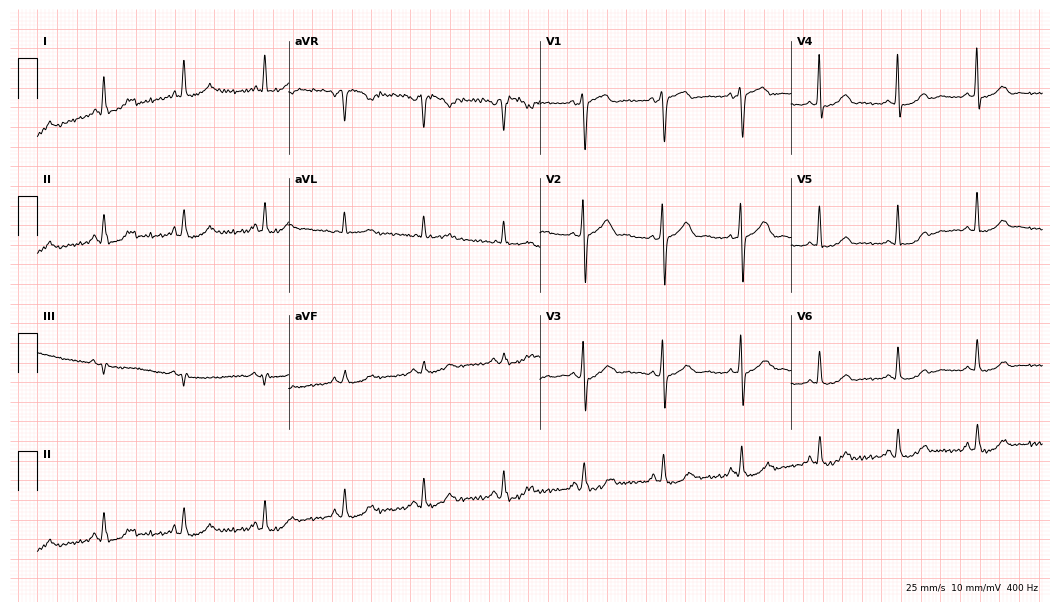
ECG (10.2-second recording at 400 Hz) — a female patient, 64 years old. Screened for six findings — first-degree AV block, right bundle branch block, left bundle branch block, sinus bradycardia, atrial fibrillation, sinus tachycardia — none is recorded.